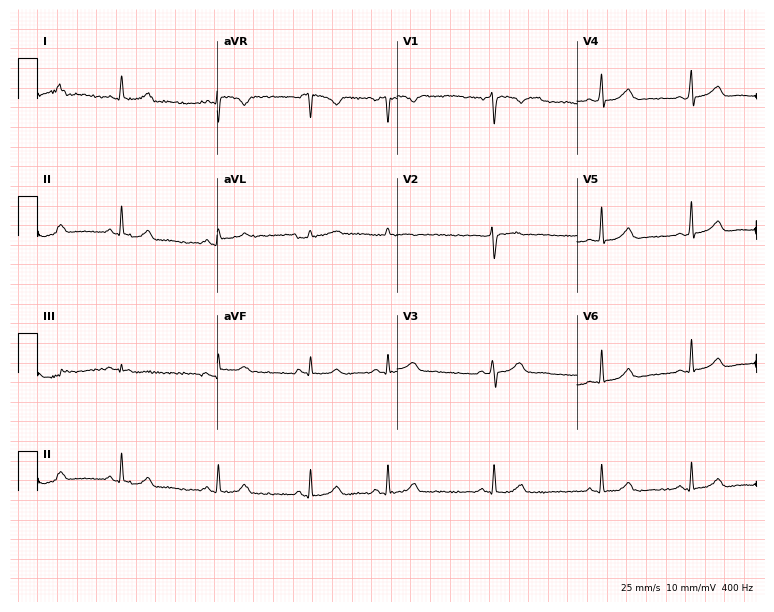
Resting 12-lead electrocardiogram. Patient: a 31-year-old female. None of these six findings is recorded: first-degree AV block, right bundle branch block, left bundle branch block, sinus bradycardia, atrial fibrillation, sinus tachycardia. Other findings, if any, are not listed.